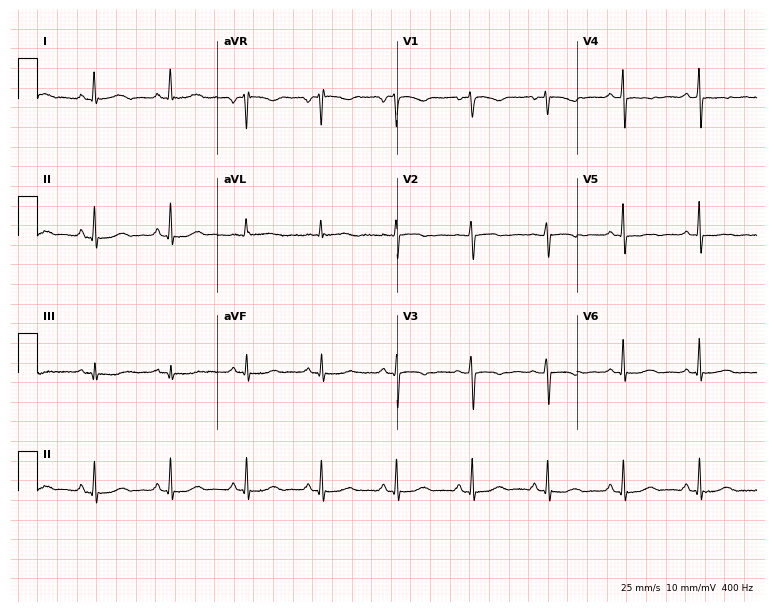
Resting 12-lead electrocardiogram. Patient: a 77-year-old female. None of these six findings is recorded: first-degree AV block, right bundle branch block, left bundle branch block, sinus bradycardia, atrial fibrillation, sinus tachycardia. Findings outside these six are not listed.